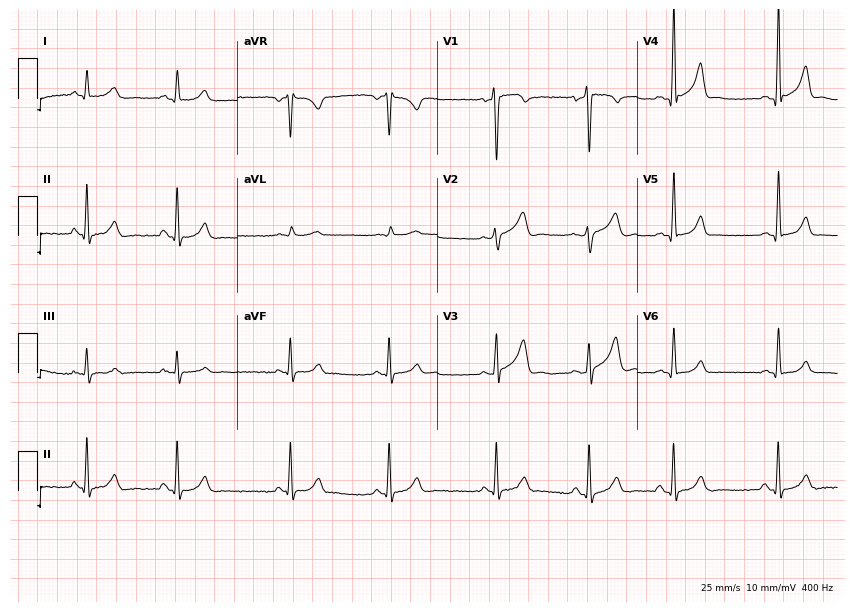
Resting 12-lead electrocardiogram. Patient: a 30-year-old male. None of these six findings is recorded: first-degree AV block, right bundle branch block (RBBB), left bundle branch block (LBBB), sinus bradycardia, atrial fibrillation (AF), sinus tachycardia.